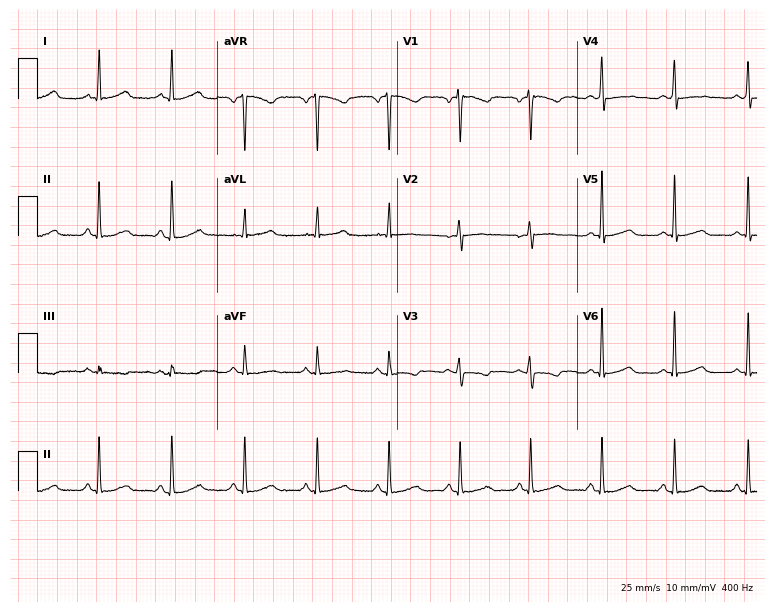
Standard 12-lead ECG recorded from a 45-year-old female. Read as a normal ECG.